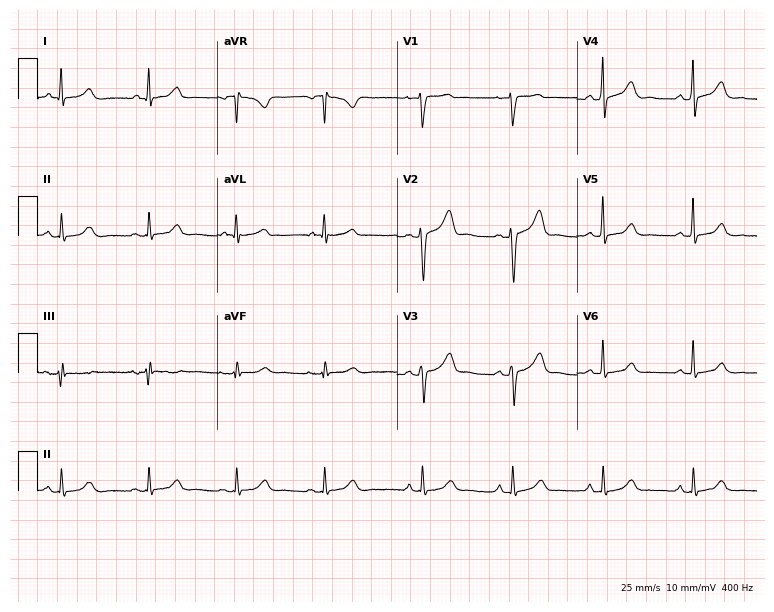
ECG — a female patient, 49 years old. Labelled as a normal ECG.